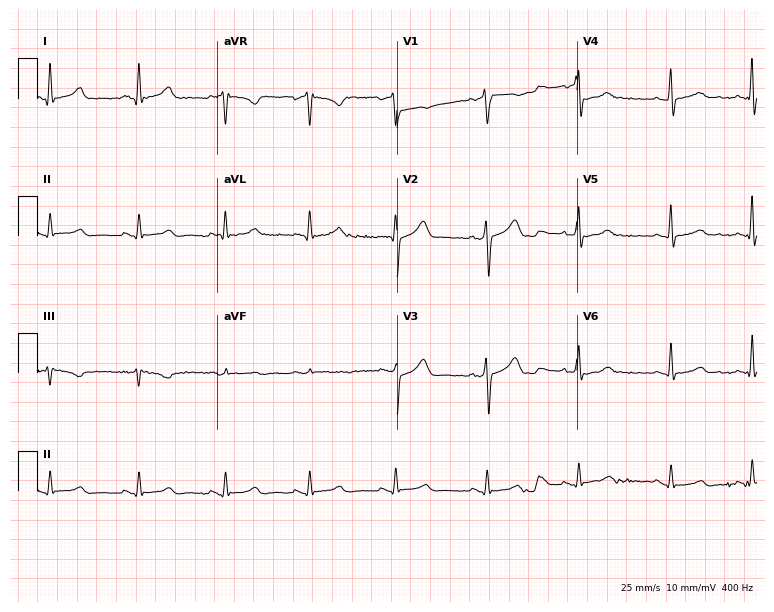
ECG (7.3-second recording at 400 Hz) — a male patient, 43 years old. Screened for six findings — first-degree AV block, right bundle branch block, left bundle branch block, sinus bradycardia, atrial fibrillation, sinus tachycardia — none is recorded. Findings outside these six are not listed.